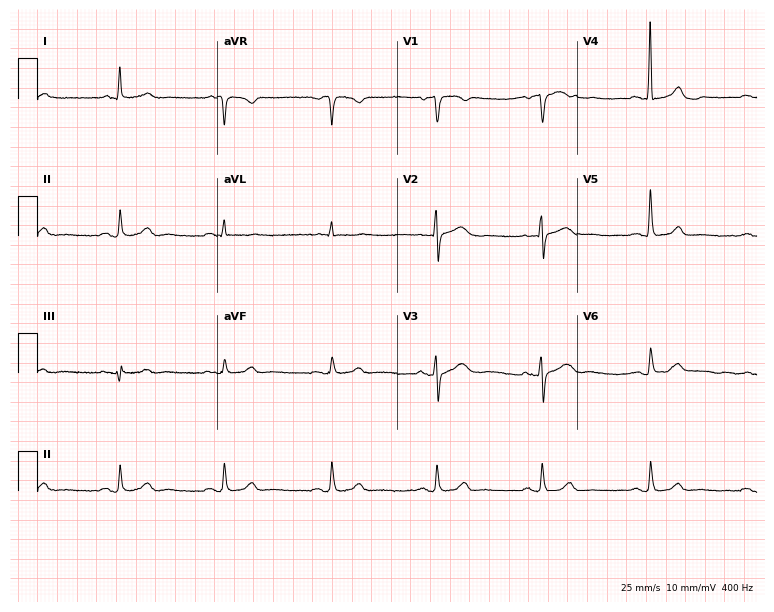
12-lead ECG from a 66-year-old female patient (7.3-second recording at 400 Hz). No first-degree AV block, right bundle branch block (RBBB), left bundle branch block (LBBB), sinus bradycardia, atrial fibrillation (AF) or sinus tachycardia recorded for this tracing. Other findings, if any, are not listed.